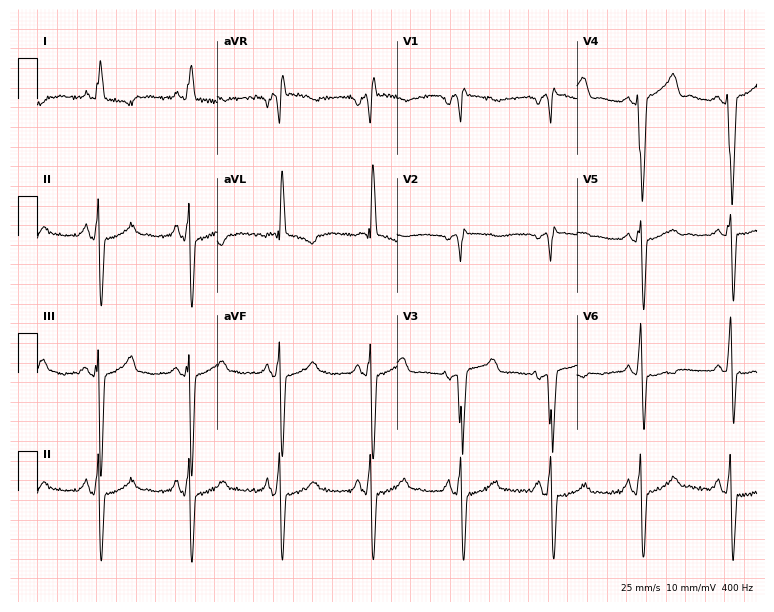
12-lead ECG from a 79-year-old woman (7.3-second recording at 400 Hz). No first-degree AV block, right bundle branch block (RBBB), left bundle branch block (LBBB), sinus bradycardia, atrial fibrillation (AF) or sinus tachycardia recorded for this tracing. Other findings, if any, are not listed.